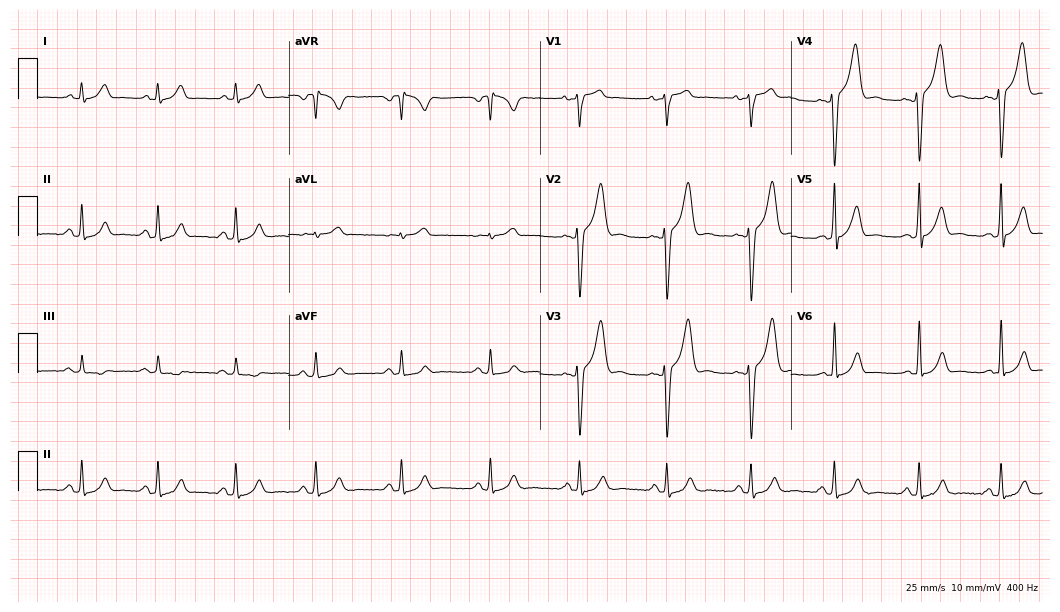
Electrocardiogram, a male, 35 years old. Overall reading on record: normal ECG.